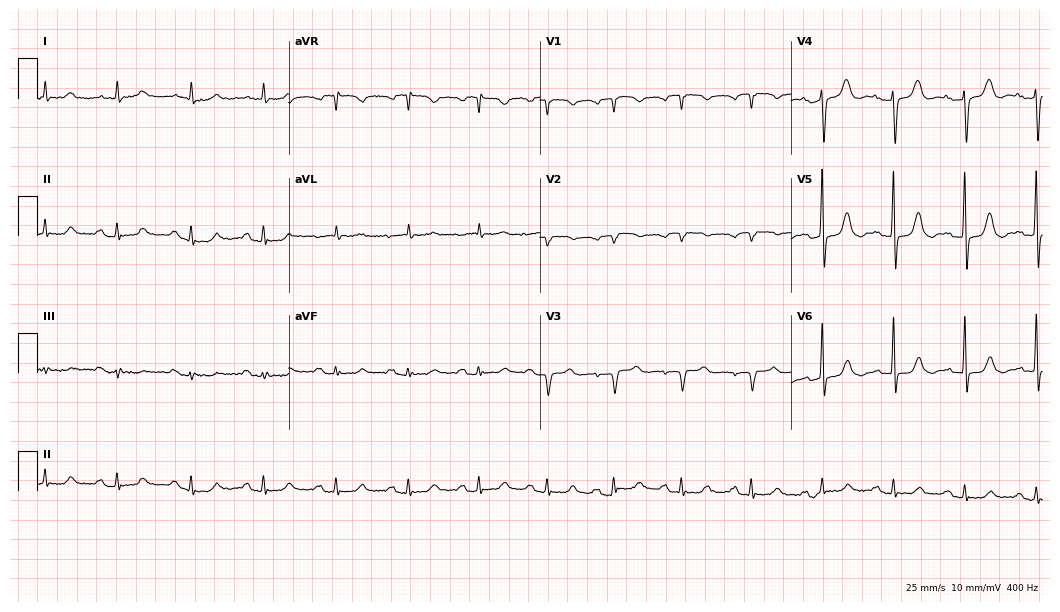
ECG (10.2-second recording at 400 Hz) — a female, 83 years old. Labelled as a normal ECG.